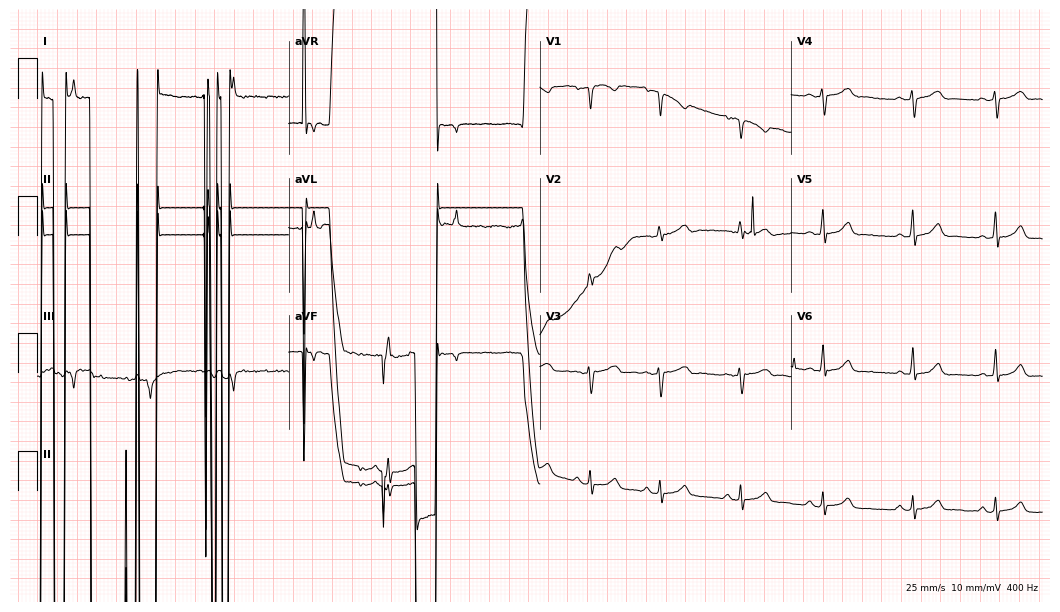
Electrocardiogram, a woman, 34 years old. Of the six screened findings (first-degree AV block, right bundle branch block (RBBB), left bundle branch block (LBBB), sinus bradycardia, atrial fibrillation (AF), sinus tachycardia), none is recorded. Only these six findings were labelled.